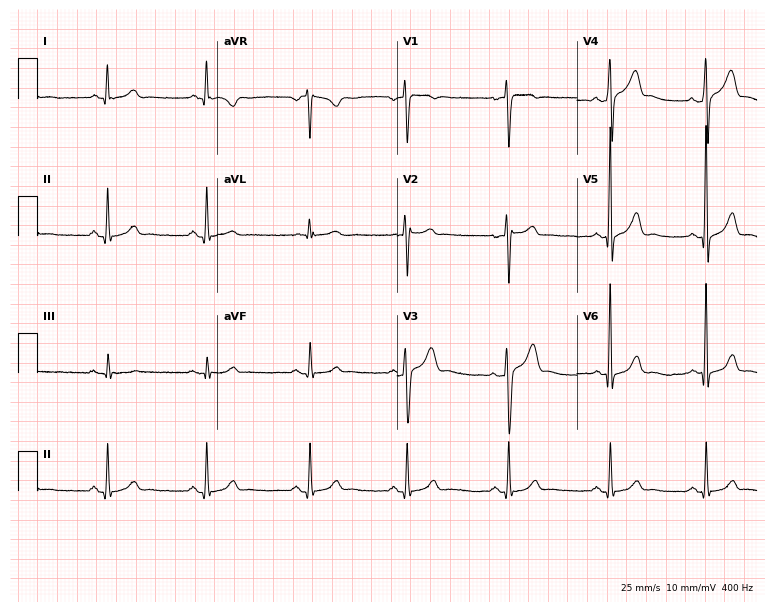
12-lead ECG (7.3-second recording at 400 Hz) from a male, 30 years old. Labelled as a normal ECG.